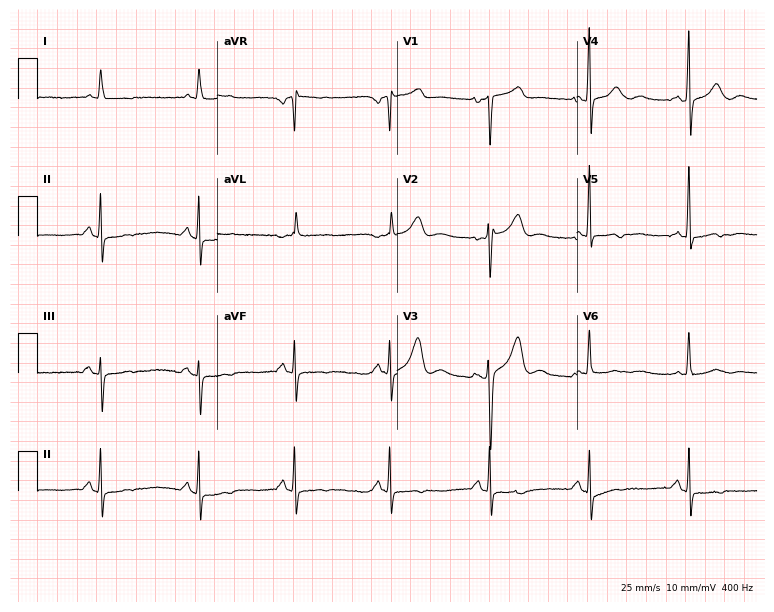
12-lead ECG from a female, 65 years old (7.3-second recording at 400 Hz). No first-degree AV block, right bundle branch block, left bundle branch block, sinus bradycardia, atrial fibrillation or sinus tachycardia recorded for this tracing.